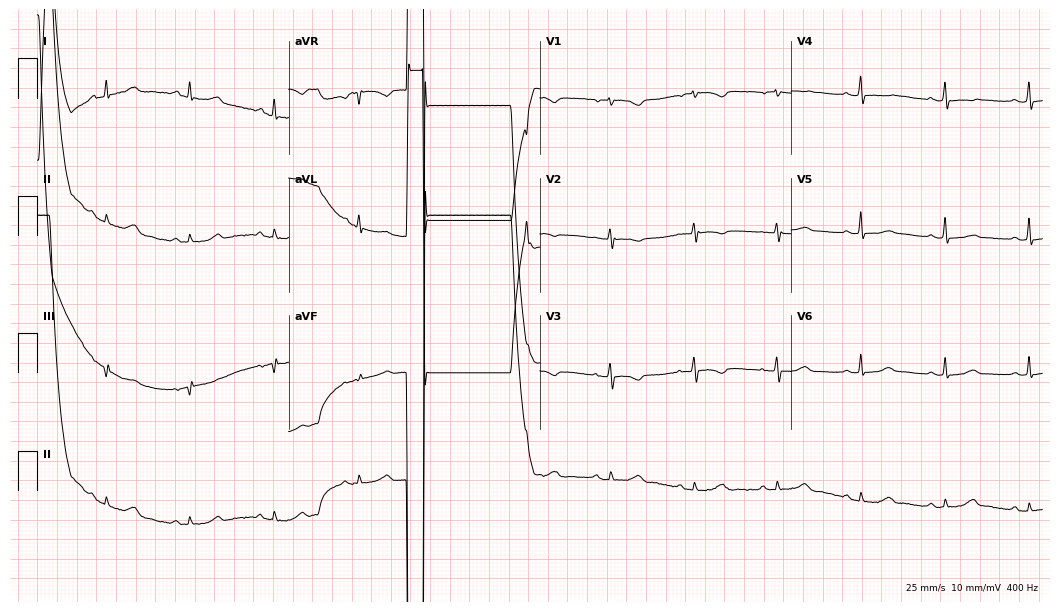
Resting 12-lead electrocardiogram. Patient: a 61-year-old woman. None of these six findings is recorded: first-degree AV block, right bundle branch block (RBBB), left bundle branch block (LBBB), sinus bradycardia, atrial fibrillation (AF), sinus tachycardia. Findings outside these six are not listed.